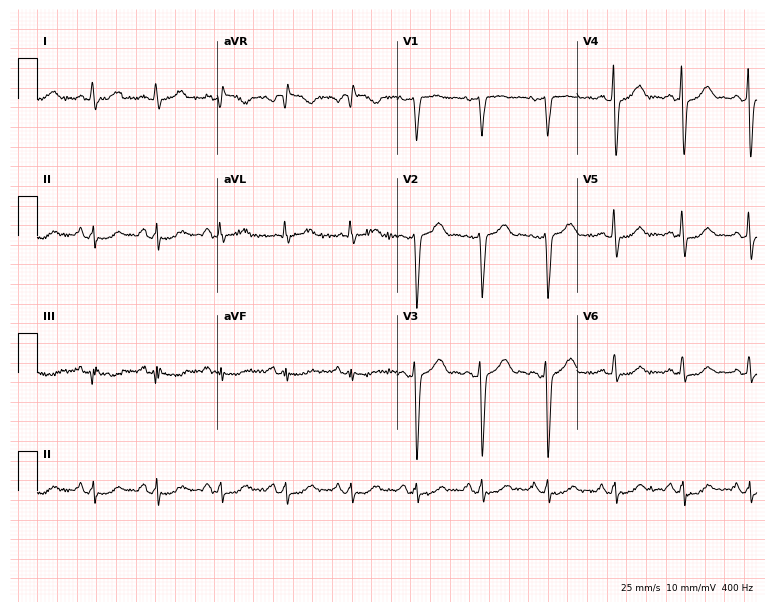
Standard 12-lead ECG recorded from a 56-year-old woman (7.3-second recording at 400 Hz). Read as a normal ECG.